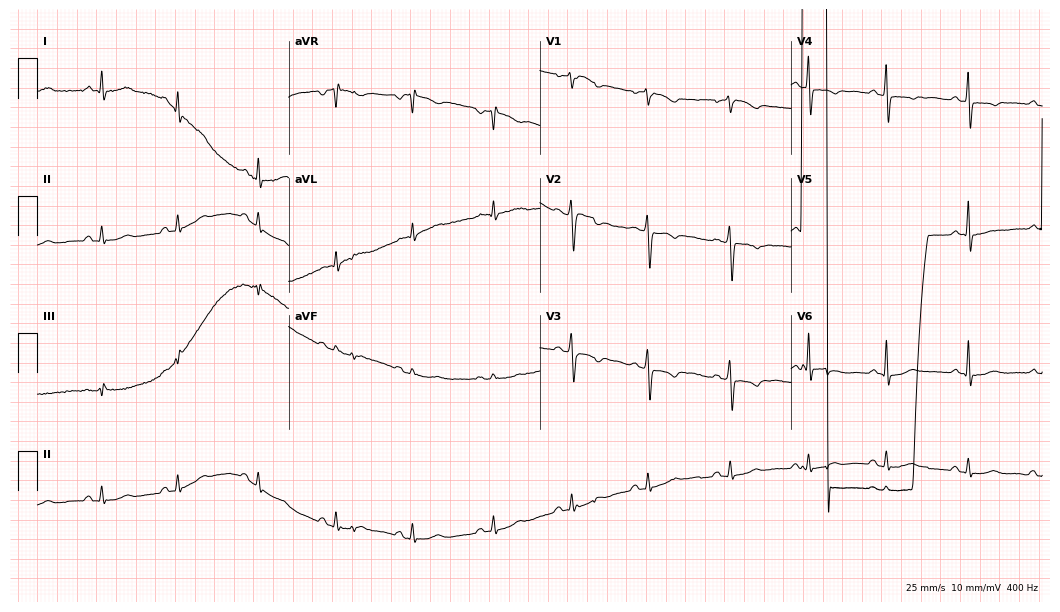
Resting 12-lead electrocardiogram (10.2-second recording at 400 Hz). Patient: a 47-year-old female. None of these six findings is recorded: first-degree AV block, right bundle branch block, left bundle branch block, sinus bradycardia, atrial fibrillation, sinus tachycardia. Only these six findings were labelled.